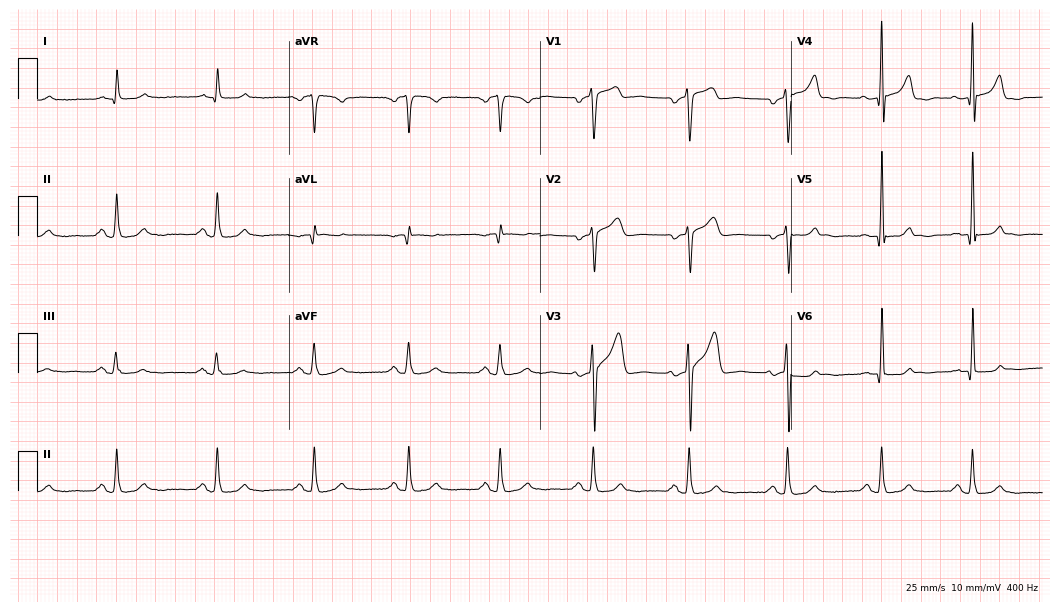
Electrocardiogram, a male patient, 56 years old. Of the six screened findings (first-degree AV block, right bundle branch block (RBBB), left bundle branch block (LBBB), sinus bradycardia, atrial fibrillation (AF), sinus tachycardia), none is recorded.